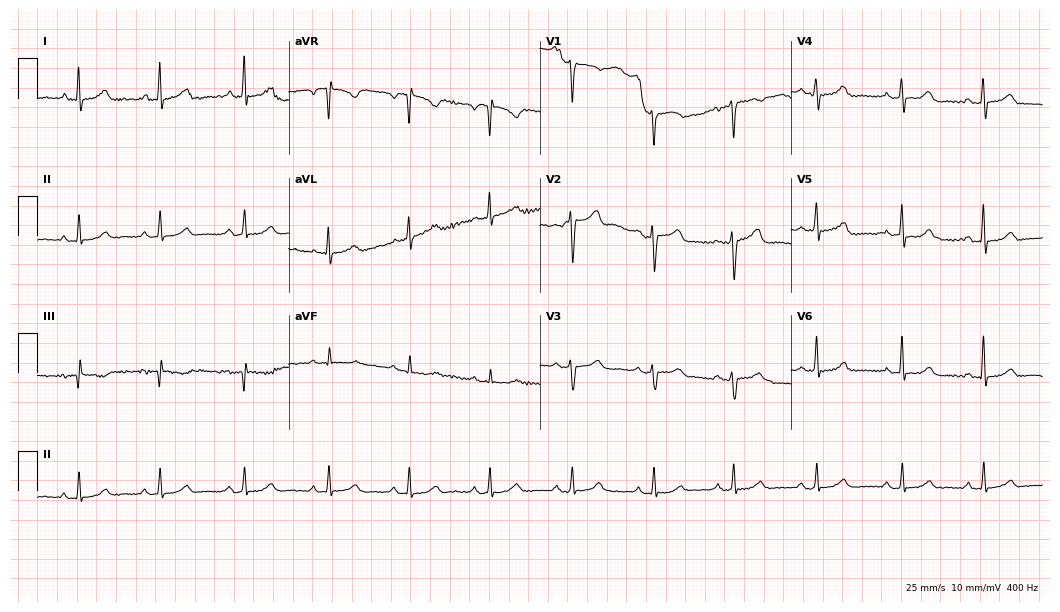
12-lead ECG from a female patient, 46 years old (10.2-second recording at 400 Hz). No first-degree AV block, right bundle branch block, left bundle branch block, sinus bradycardia, atrial fibrillation or sinus tachycardia recorded for this tracing.